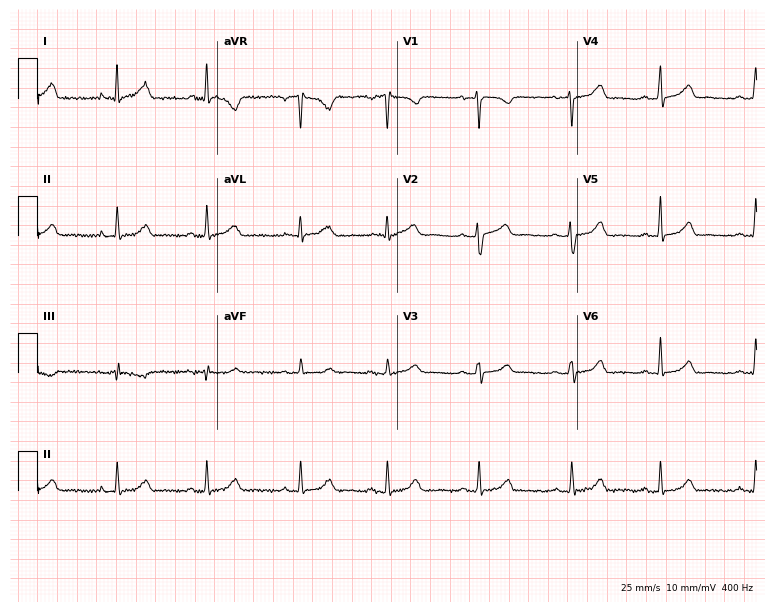
Electrocardiogram (7.3-second recording at 400 Hz), a 38-year-old female patient. Overall reading on record: normal ECG.